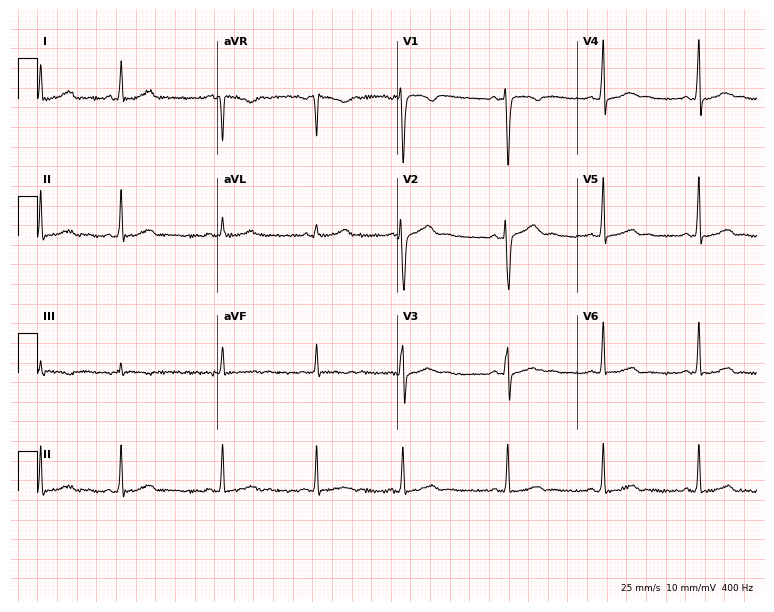
Standard 12-lead ECG recorded from a 24-year-old woman. None of these six findings is recorded: first-degree AV block, right bundle branch block, left bundle branch block, sinus bradycardia, atrial fibrillation, sinus tachycardia.